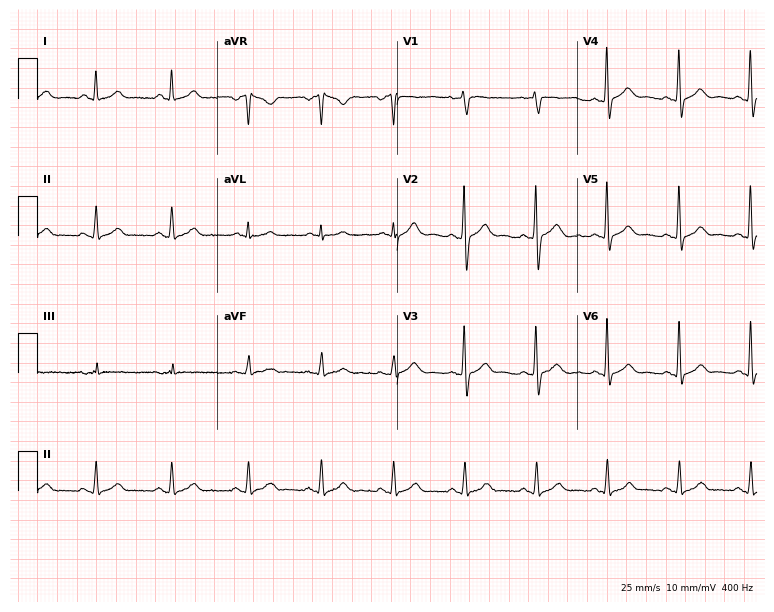
Resting 12-lead electrocardiogram (7.3-second recording at 400 Hz). Patient: a man, 31 years old. Read as a normal ECG.